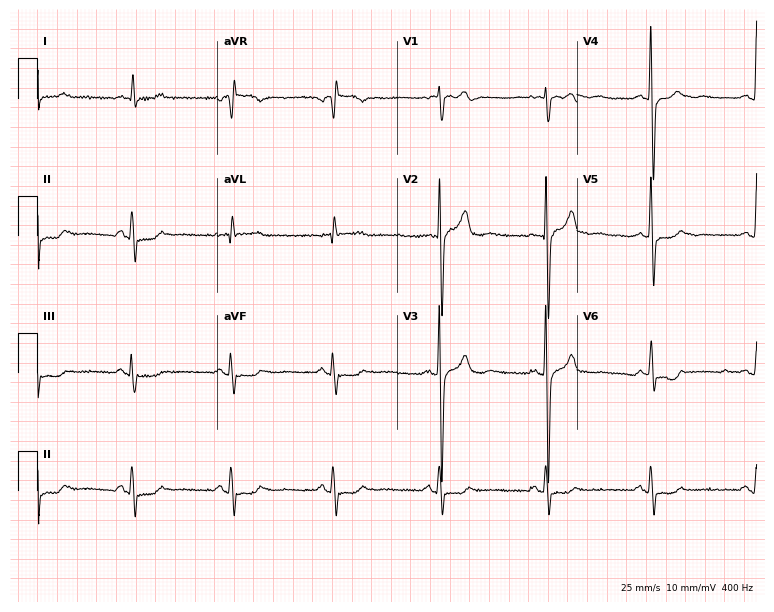
Standard 12-lead ECG recorded from a 66-year-old male patient (7.3-second recording at 400 Hz). None of these six findings is recorded: first-degree AV block, right bundle branch block (RBBB), left bundle branch block (LBBB), sinus bradycardia, atrial fibrillation (AF), sinus tachycardia.